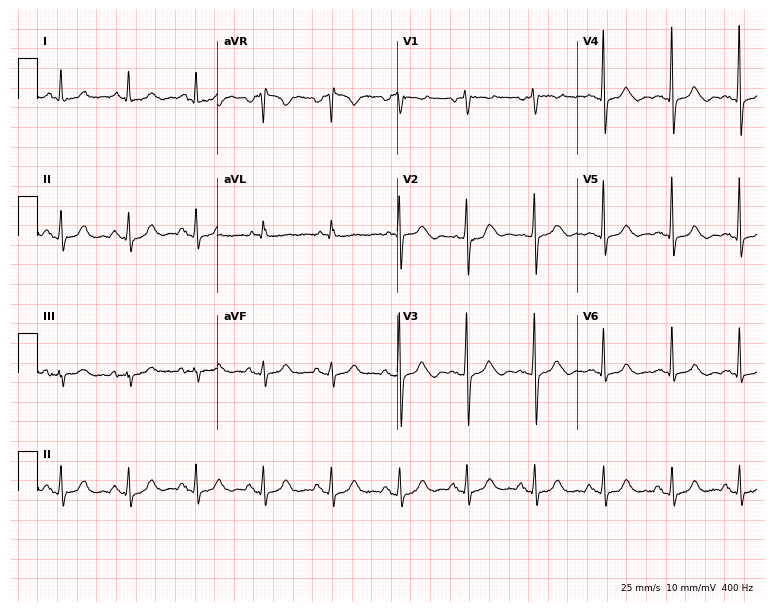
12-lead ECG (7.3-second recording at 400 Hz) from a female, 72 years old. Labelled as a normal ECG.